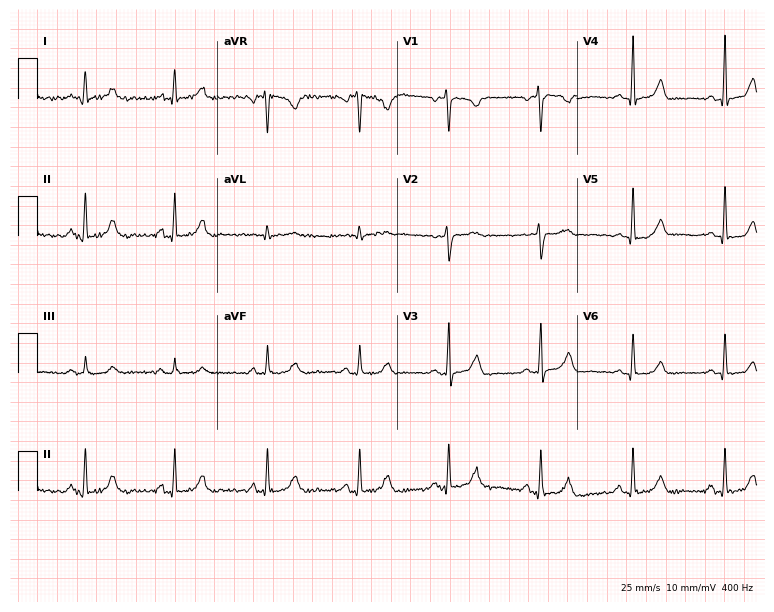
12-lead ECG from a 46-year-old woman. Labelled as a normal ECG.